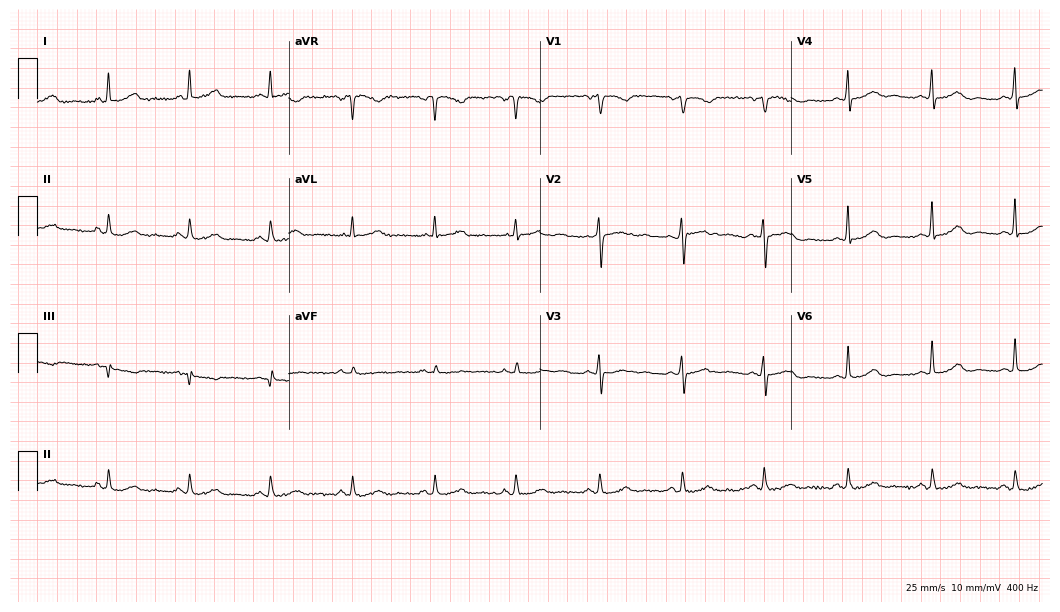
Electrocardiogram, a female patient, 81 years old. Overall reading on record: normal ECG.